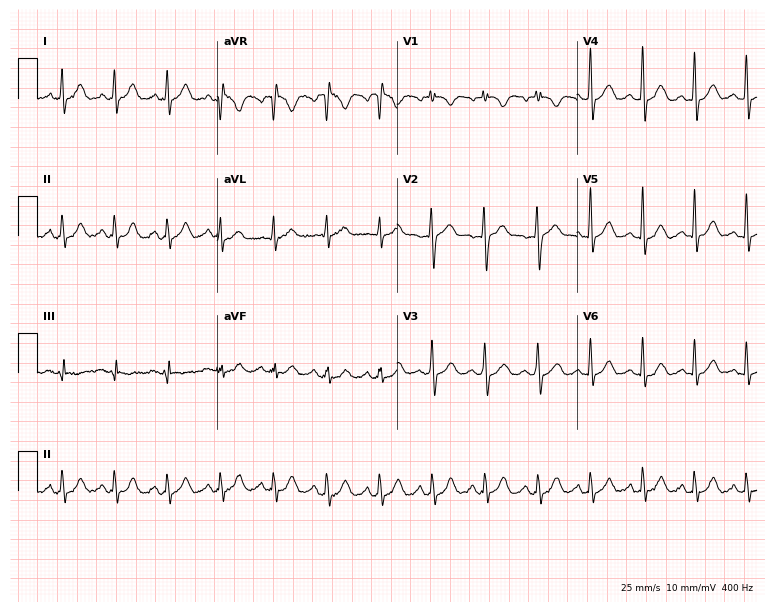
Standard 12-lead ECG recorded from a 30-year-old male patient (7.3-second recording at 400 Hz). The tracing shows sinus tachycardia (a sinus rate of 100 beats per minute or more).